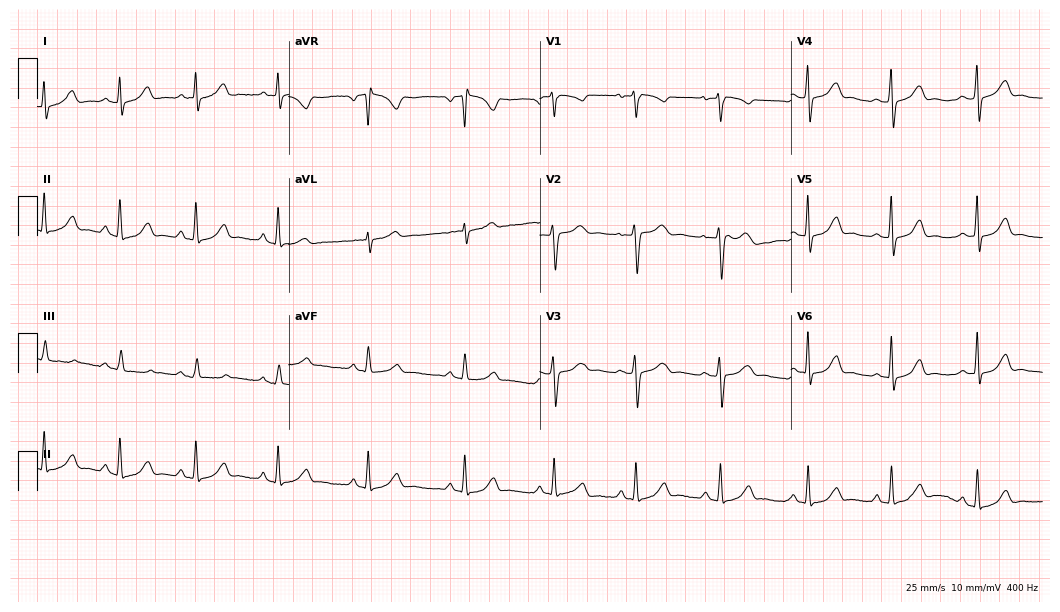
Electrocardiogram, a female, 38 years old. Overall reading on record: normal ECG.